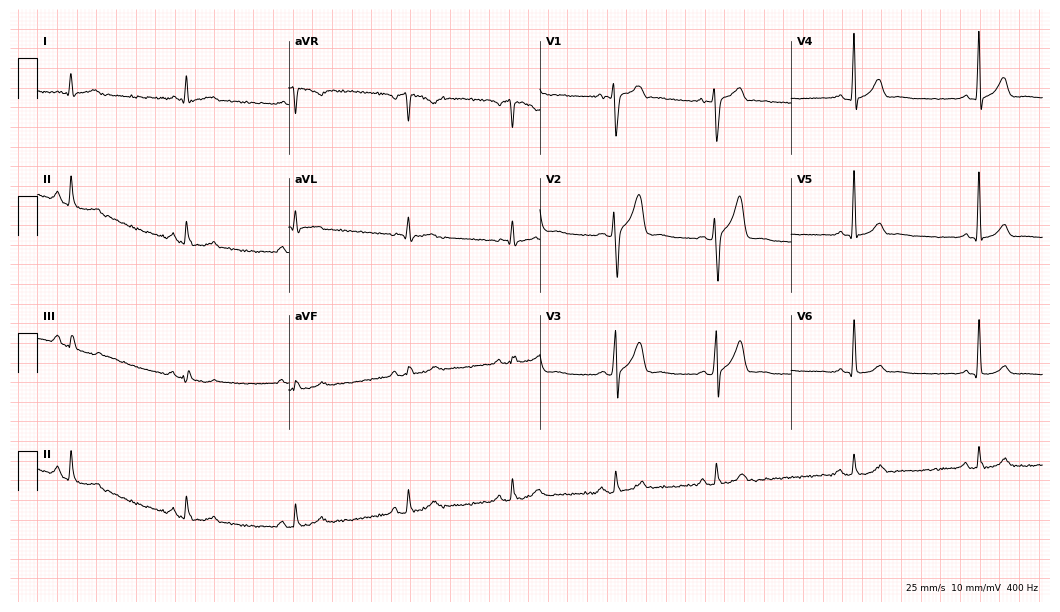
12-lead ECG from a male patient, 34 years old (10.2-second recording at 400 Hz). Recorded interpretation: within normal limits.